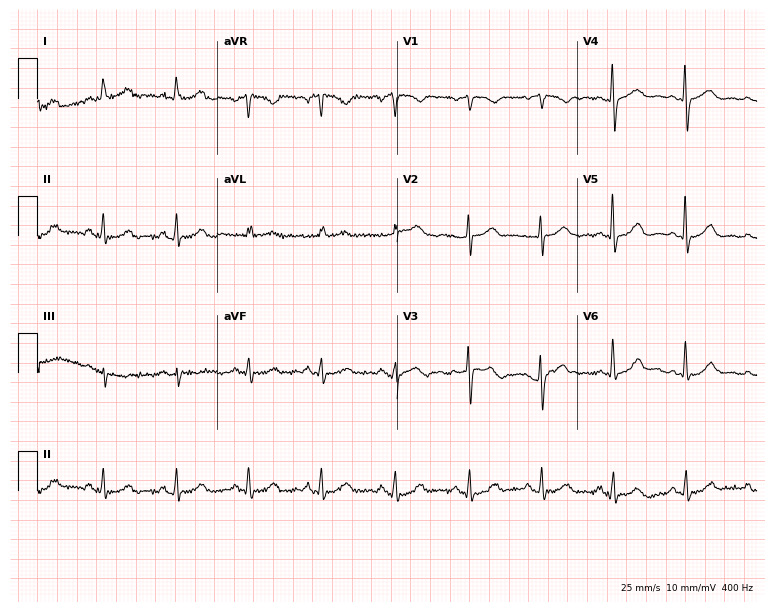
12-lead ECG from a 56-year-old female. Screened for six findings — first-degree AV block, right bundle branch block, left bundle branch block, sinus bradycardia, atrial fibrillation, sinus tachycardia — none is recorded.